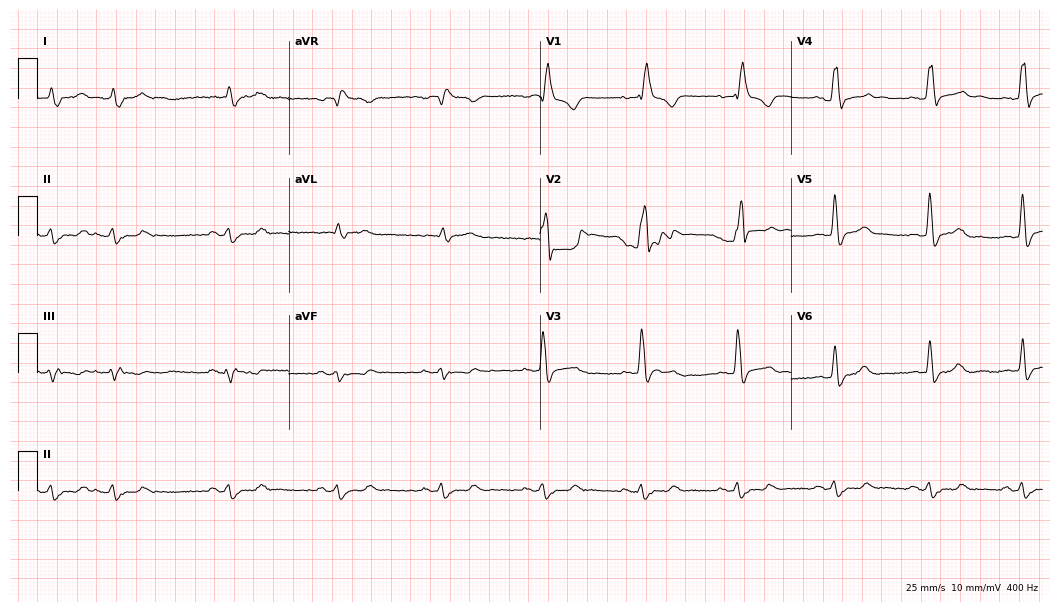
ECG (10.2-second recording at 400 Hz) — a male, 69 years old. Findings include right bundle branch block.